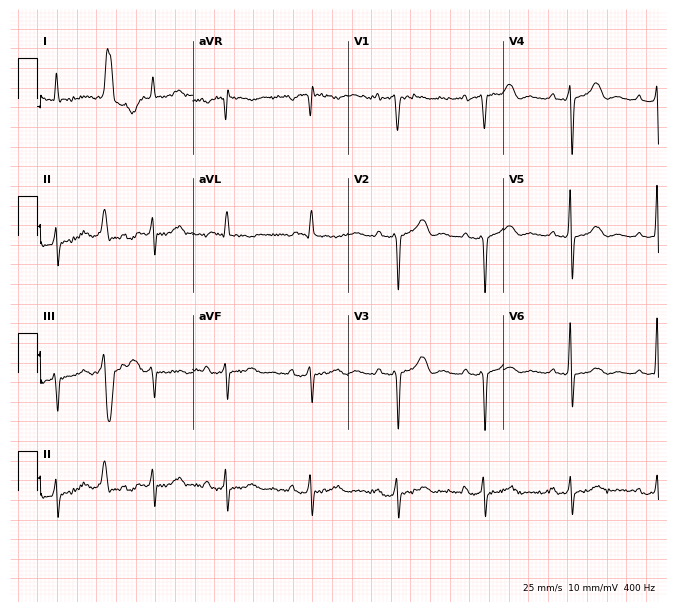
12-lead ECG (6.3-second recording at 400 Hz) from a female patient, 79 years old. Screened for six findings — first-degree AV block, right bundle branch block, left bundle branch block, sinus bradycardia, atrial fibrillation, sinus tachycardia — none is recorded. Only these six findings were labelled.